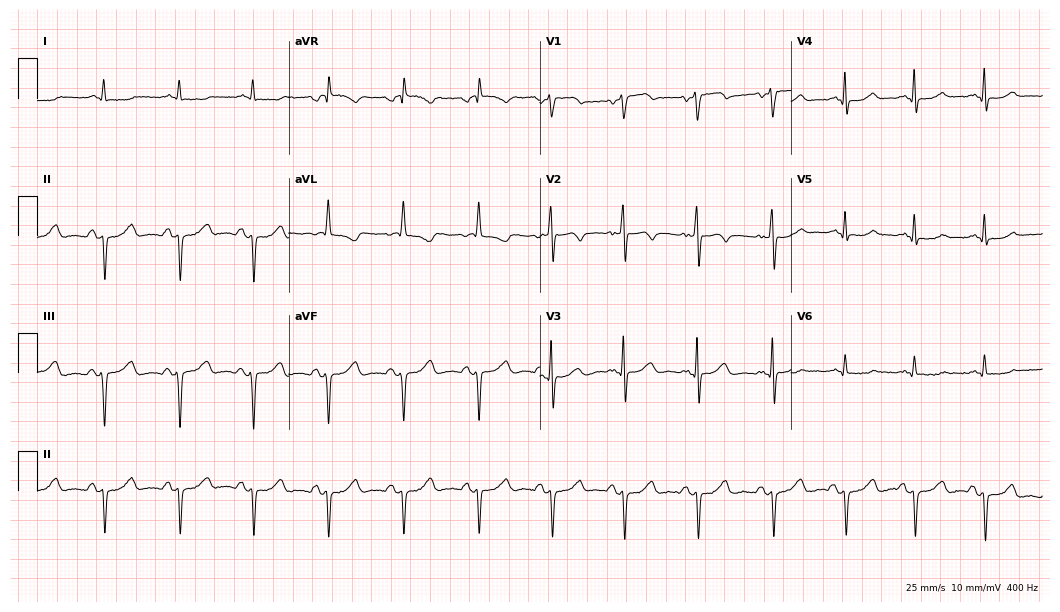
Resting 12-lead electrocardiogram (10.2-second recording at 400 Hz). Patient: a 50-year-old male. None of these six findings is recorded: first-degree AV block, right bundle branch block, left bundle branch block, sinus bradycardia, atrial fibrillation, sinus tachycardia. Findings outside these six are not listed.